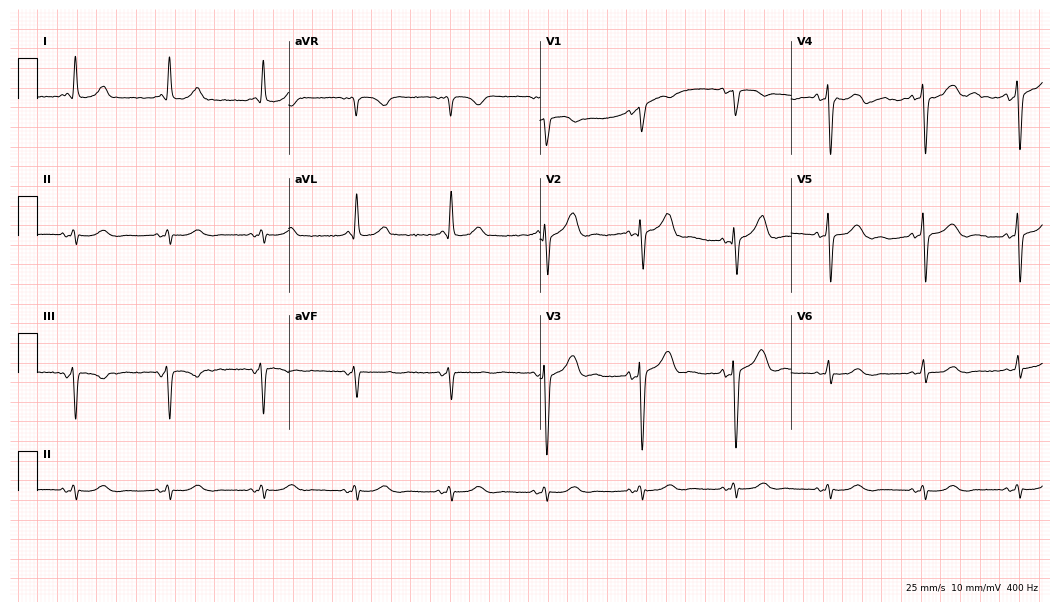
12-lead ECG from a 79-year-old male. Recorded interpretation: within normal limits.